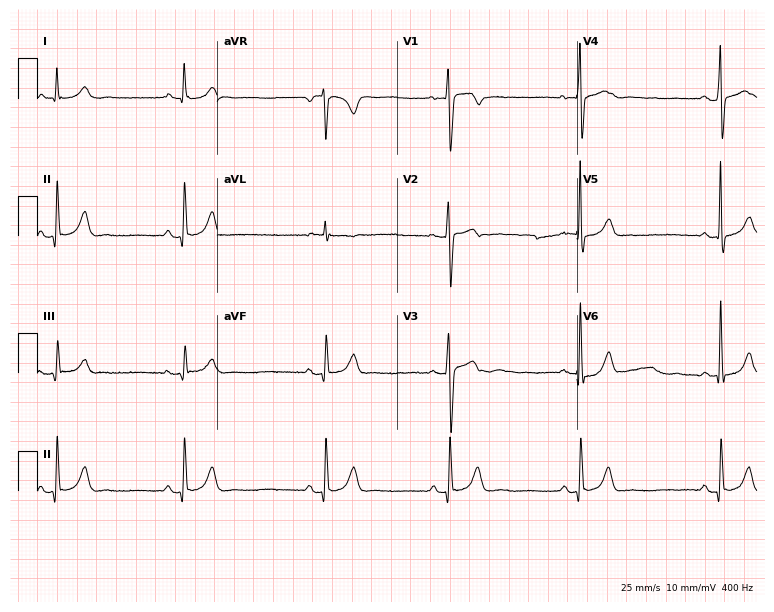
ECG (7.3-second recording at 400 Hz) — a 22-year-old male patient. Screened for six findings — first-degree AV block, right bundle branch block (RBBB), left bundle branch block (LBBB), sinus bradycardia, atrial fibrillation (AF), sinus tachycardia — none is recorded.